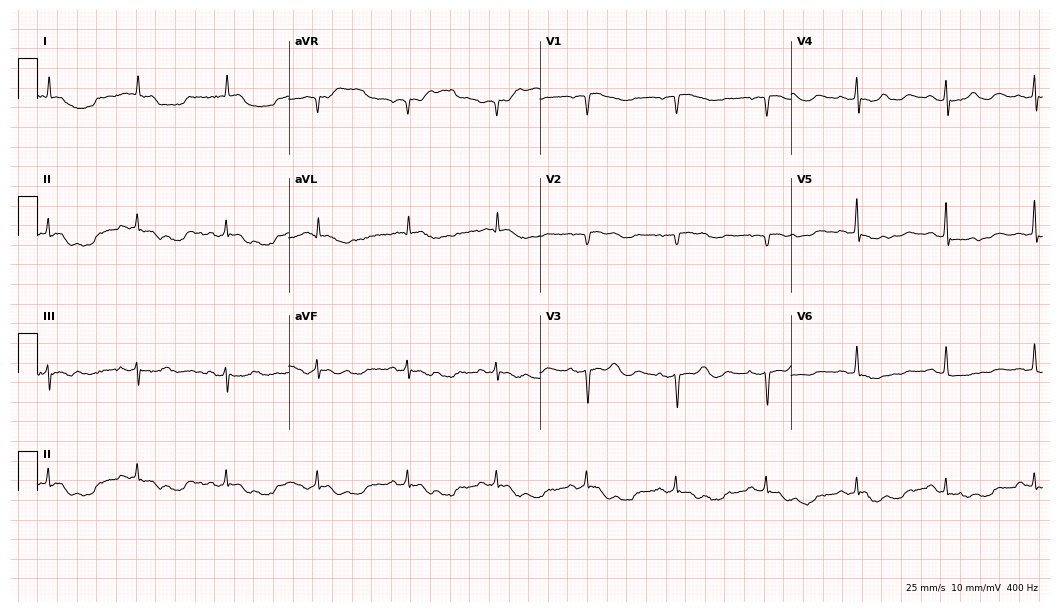
Standard 12-lead ECG recorded from an 84-year-old female (10.2-second recording at 400 Hz). None of these six findings is recorded: first-degree AV block, right bundle branch block, left bundle branch block, sinus bradycardia, atrial fibrillation, sinus tachycardia. Findings outside these six are not listed.